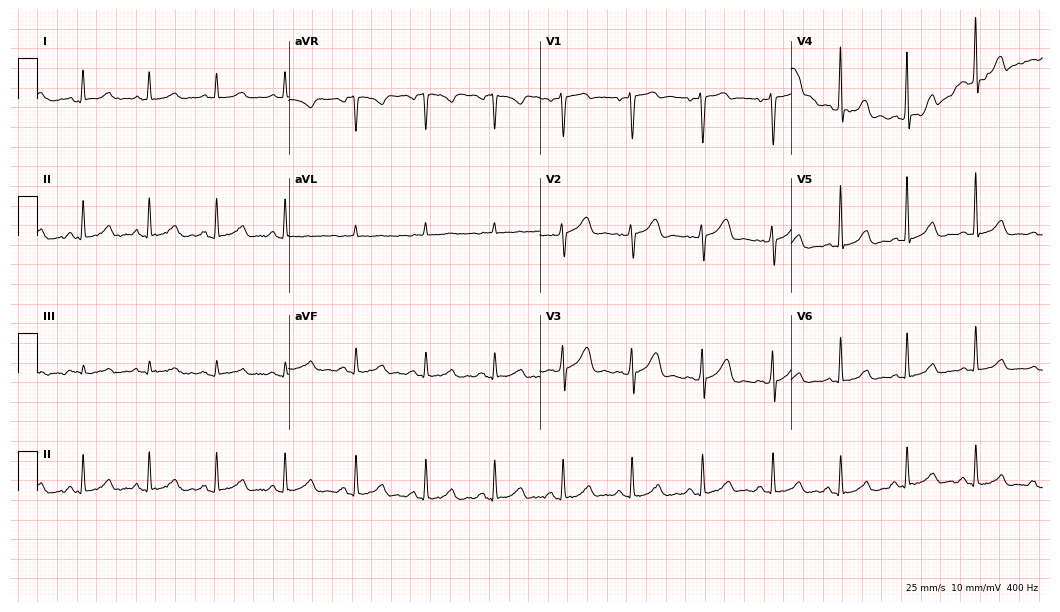
Electrocardiogram, a male, 46 years old. Of the six screened findings (first-degree AV block, right bundle branch block (RBBB), left bundle branch block (LBBB), sinus bradycardia, atrial fibrillation (AF), sinus tachycardia), none is recorded.